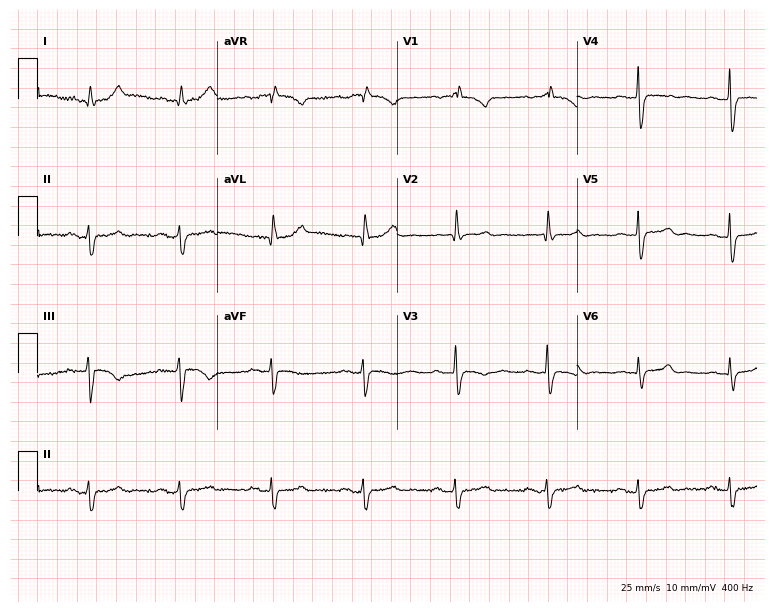
Resting 12-lead electrocardiogram (7.3-second recording at 400 Hz). Patient: a man, 66 years old. None of these six findings is recorded: first-degree AV block, right bundle branch block (RBBB), left bundle branch block (LBBB), sinus bradycardia, atrial fibrillation (AF), sinus tachycardia.